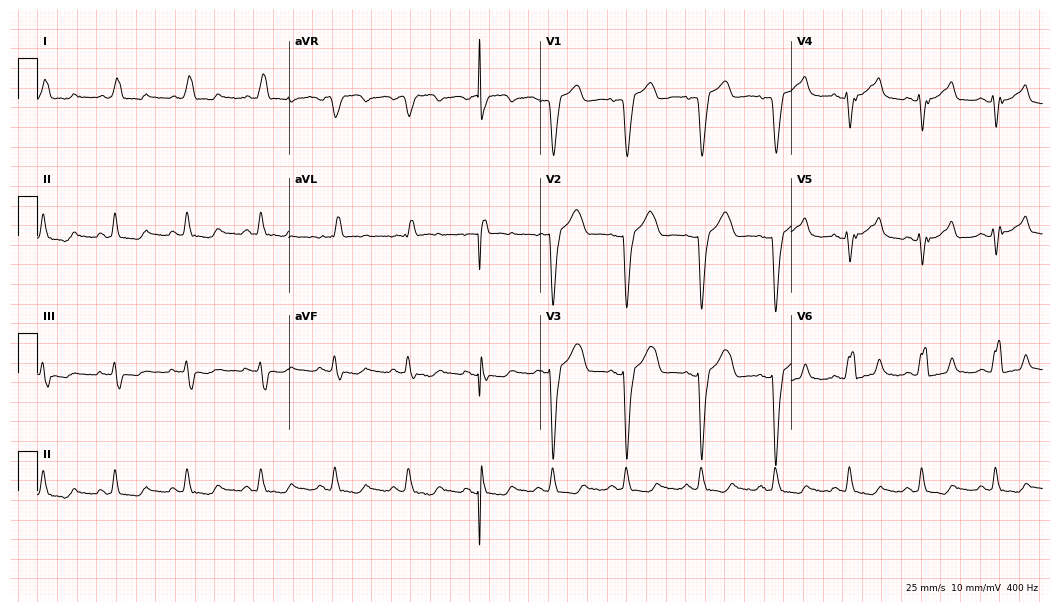
12-lead ECG from a male, 77 years old. Findings include left bundle branch block.